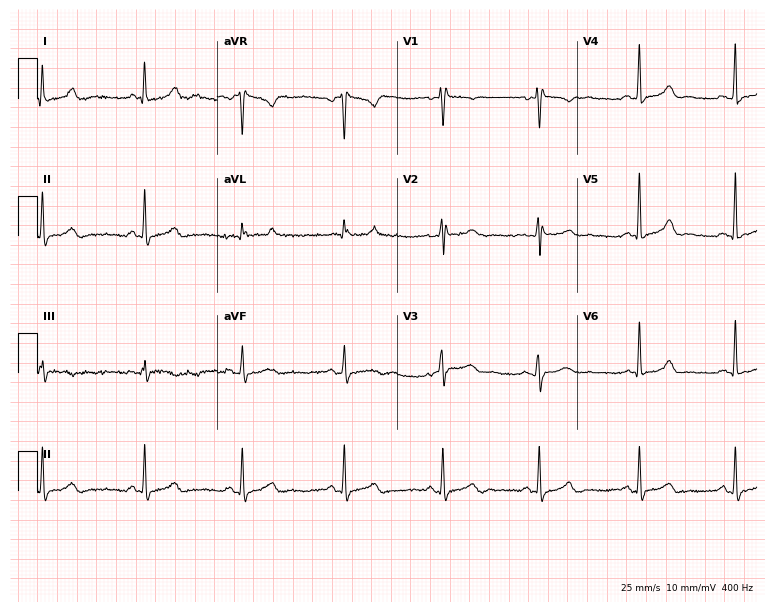
Standard 12-lead ECG recorded from a female patient, 40 years old. Read as a normal ECG.